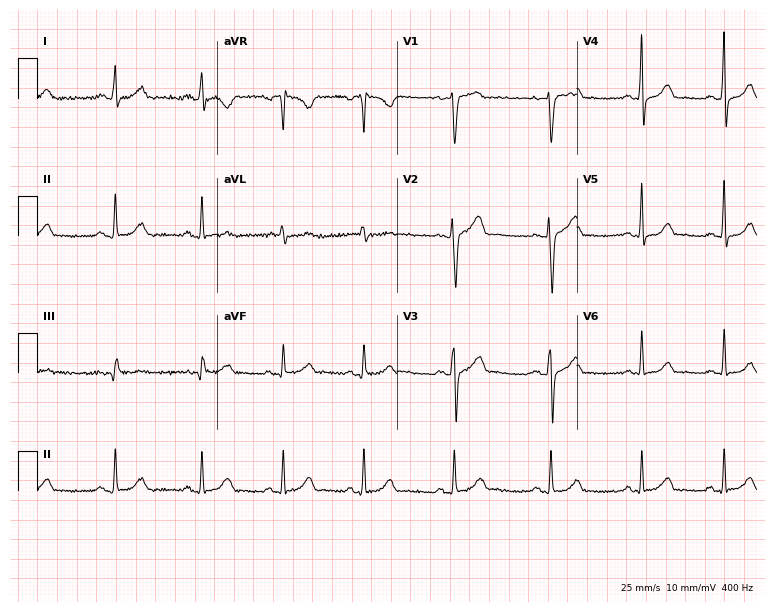
Resting 12-lead electrocardiogram (7.3-second recording at 400 Hz). Patient: a 25-year-old man. Read as a normal ECG.